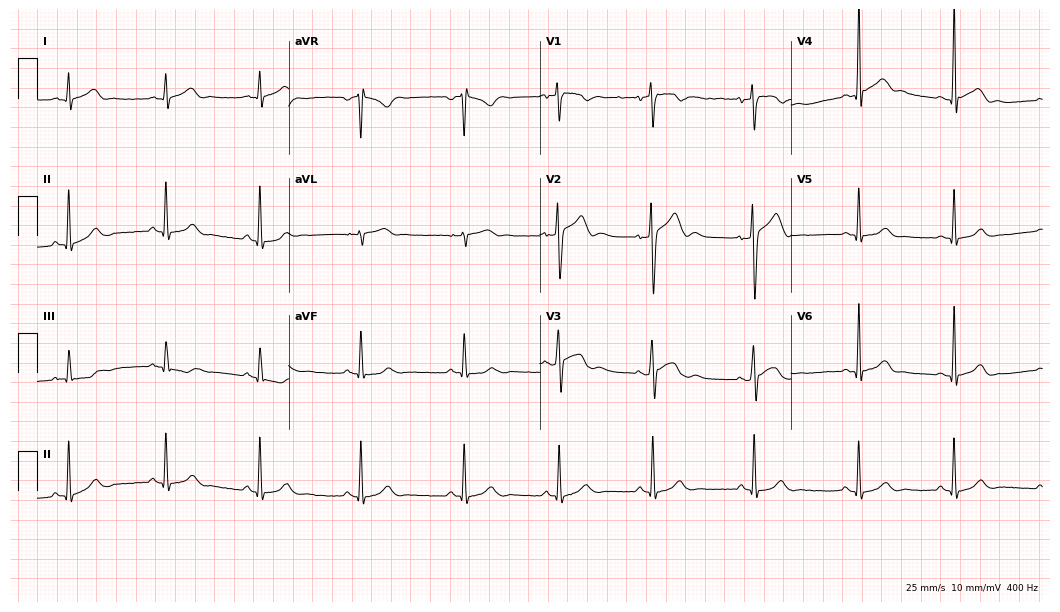
Electrocardiogram, a man, 19 years old. Overall reading on record: normal ECG.